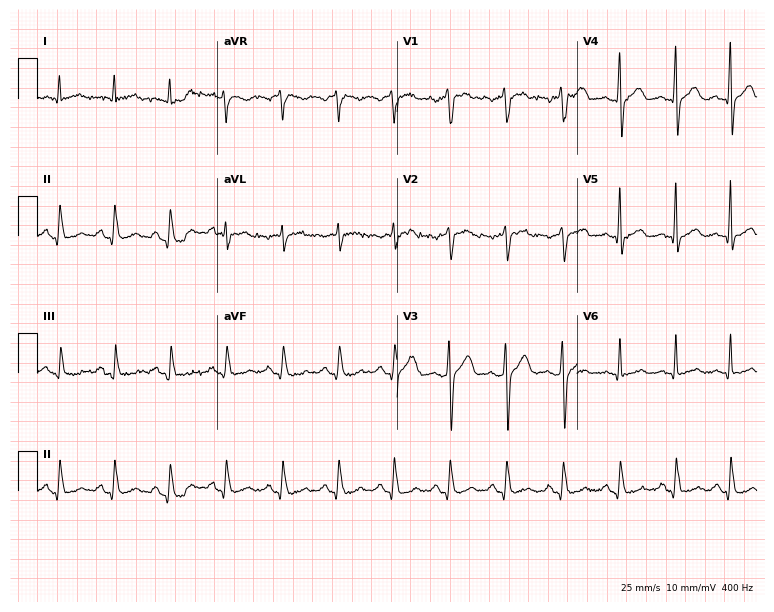
12-lead ECG from a man, 44 years old. Findings include sinus tachycardia (a sinus rate of 100 beats per minute or more).